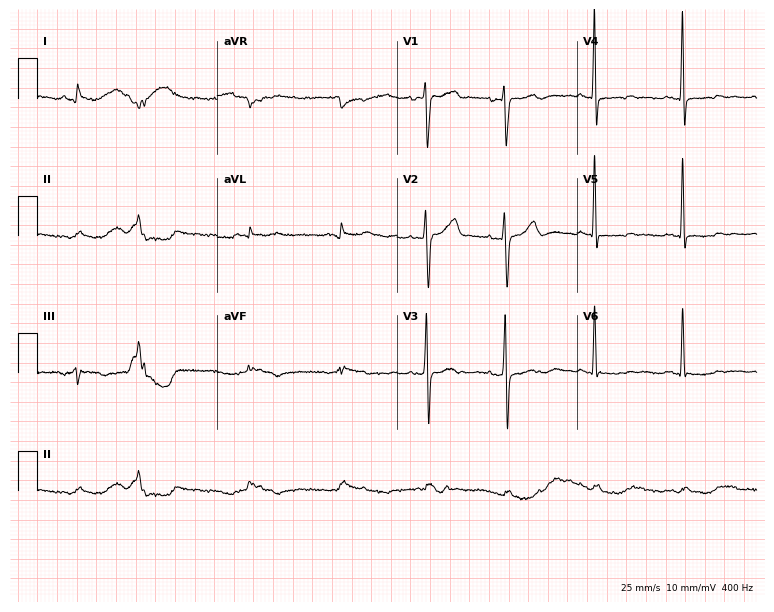
Resting 12-lead electrocardiogram (7.3-second recording at 400 Hz). Patient: a woman, 66 years old. None of these six findings is recorded: first-degree AV block, right bundle branch block, left bundle branch block, sinus bradycardia, atrial fibrillation, sinus tachycardia. Only these six findings were labelled.